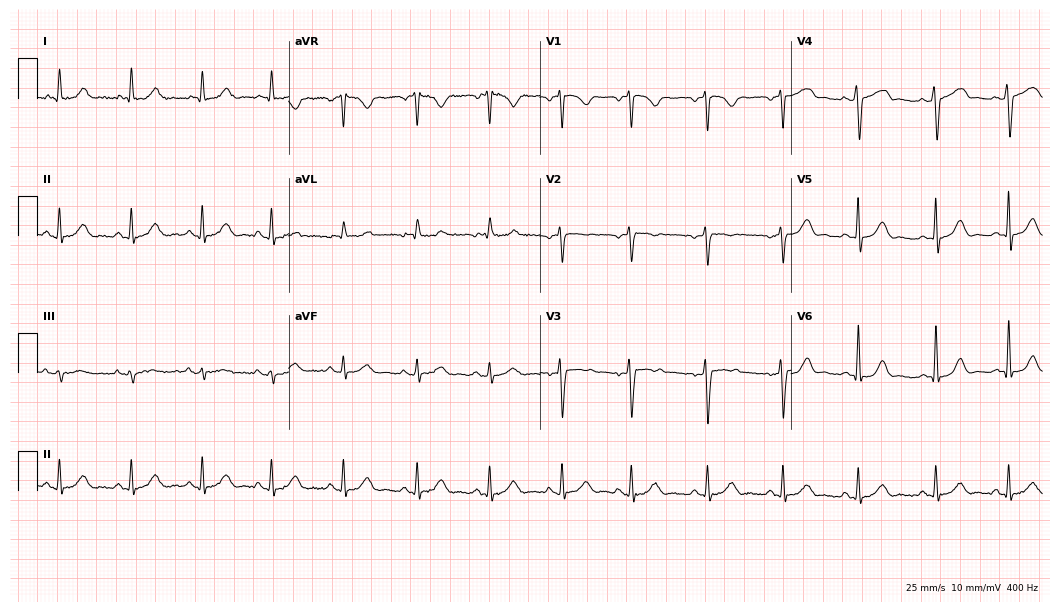
Resting 12-lead electrocardiogram. Patient: a 48-year-old female. Read as a normal ECG.